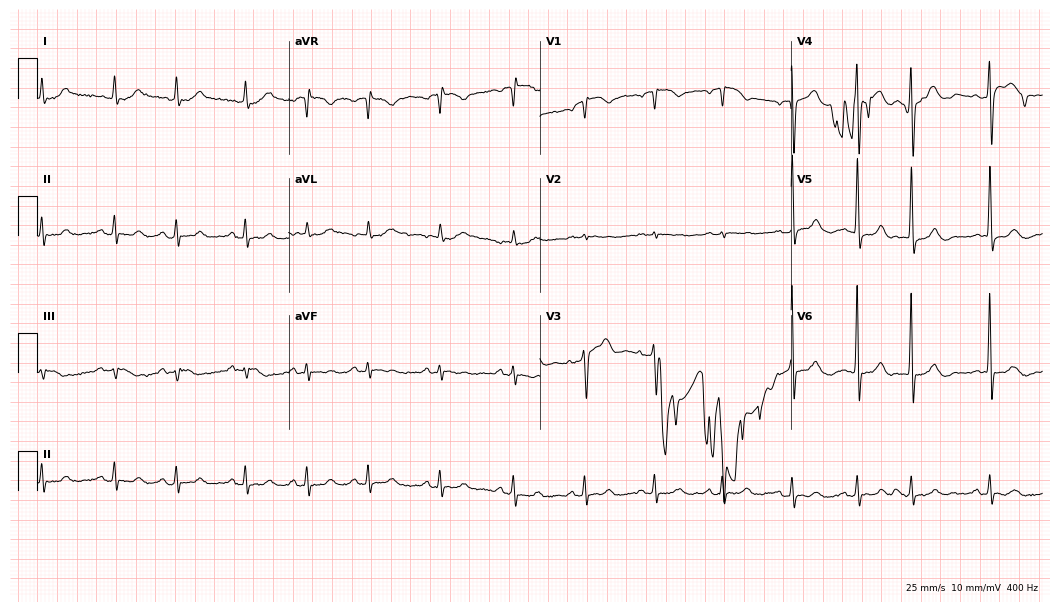
ECG (10.2-second recording at 400 Hz) — a 79-year-old female patient. Screened for six findings — first-degree AV block, right bundle branch block (RBBB), left bundle branch block (LBBB), sinus bradycardia, atrial fibrillation (AF), sinus tachycardia — none is recorded. Findings outside these six are not listed.